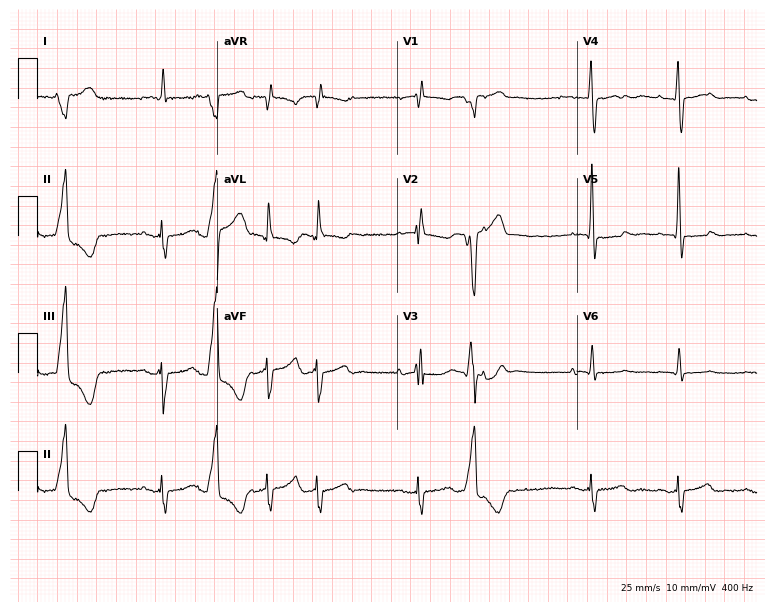
Resting 12-lead electrocardiogram. Patient: a 75-year-old woman. None of these six findings is recorded: first-degree AV block, right bundle branch block (RBBB), left bundle branch block (LBBB), sinus bradycardia, atrial fibrillation (AF), sinus tachycardia. Findings outside these six are not listed.